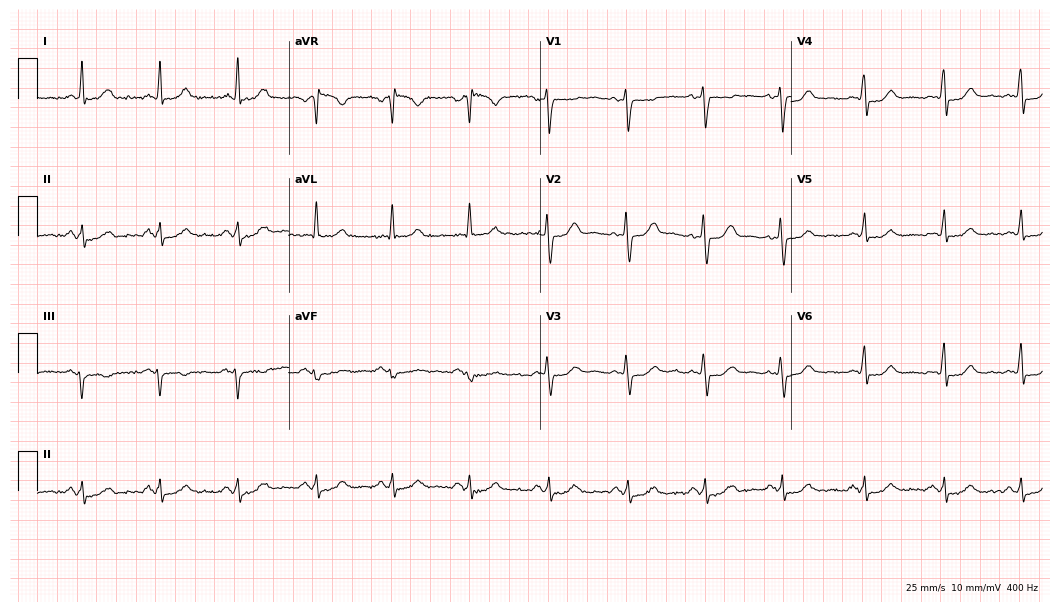
12-lead ECG from a woman, 48 years old. Labelled as a normal ECG.